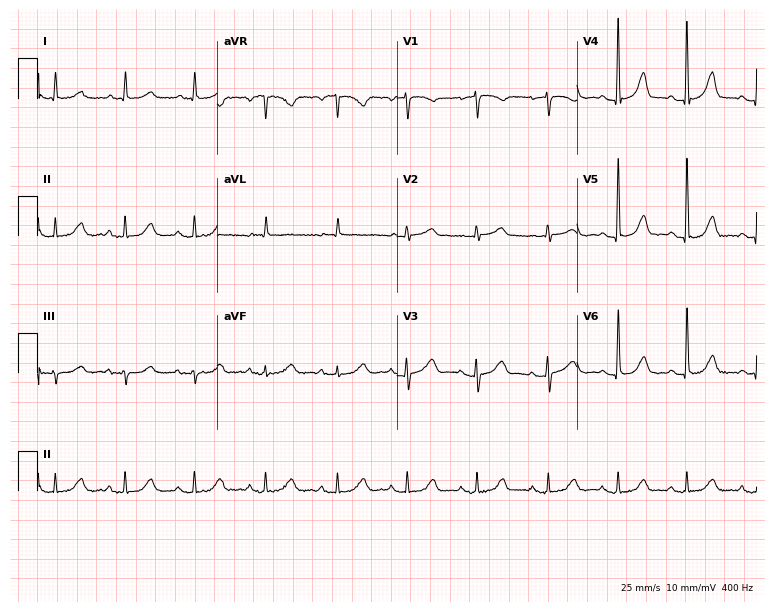
Standard 12-lead ECG recorded from a woman, 76 years old (7.3-second recording at 400 Hz). Read as a normal ECG.